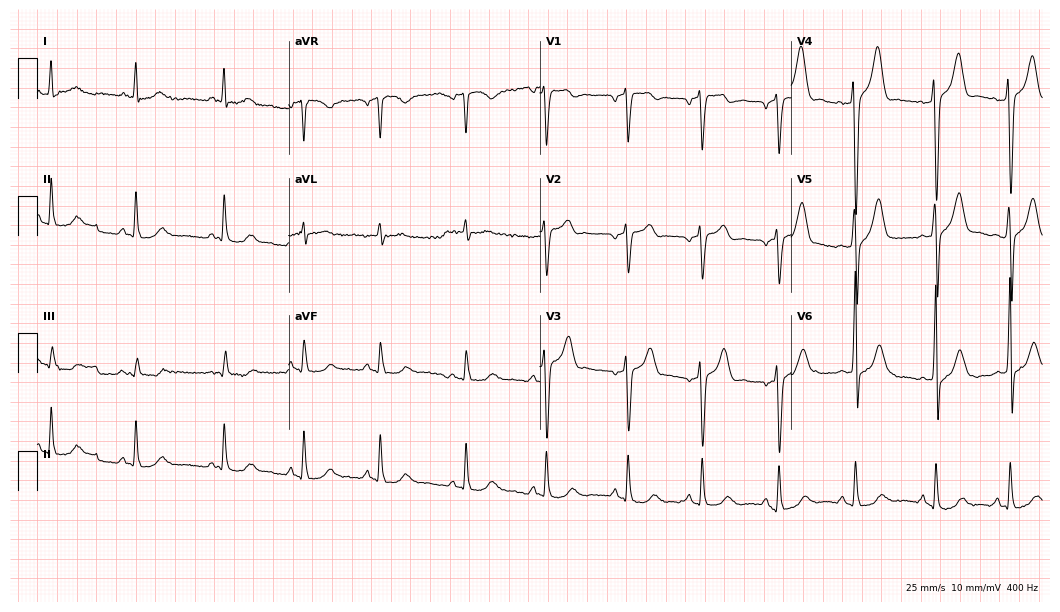
12-lead ECG from a woman, 59 years old. Recorded interpretation: within normal limits.